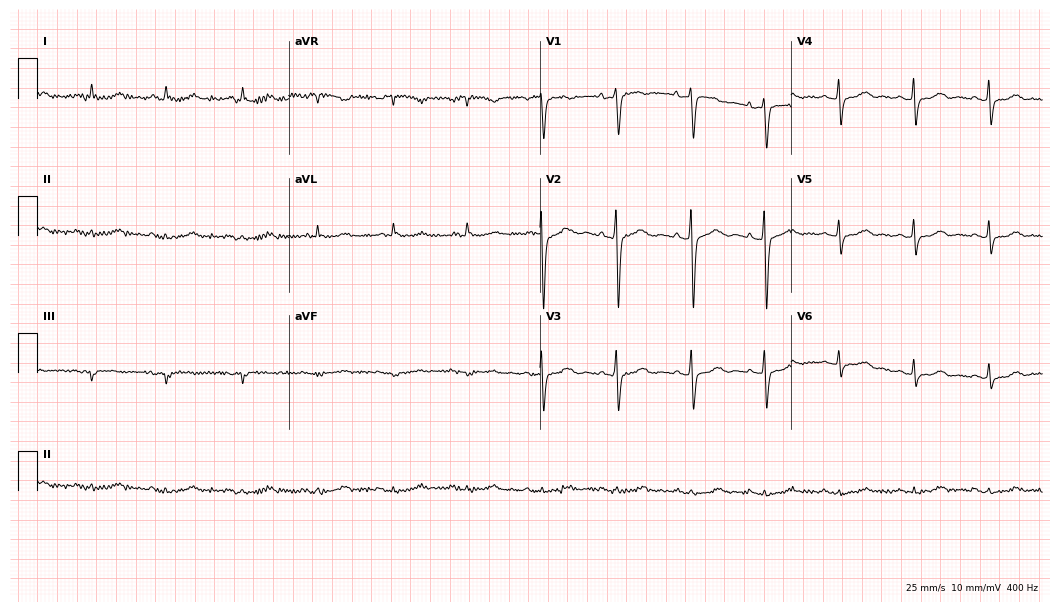
Resting 12-lead electrocardiogram. Patient: a female, 83 years old. None of these six findings is recorded: first-degree AV block, right bundle branch block, left bundle branch block, sinus bradycardia, atrial fibrillation, sinus tachycardia. Other findings, if any, are not listed.